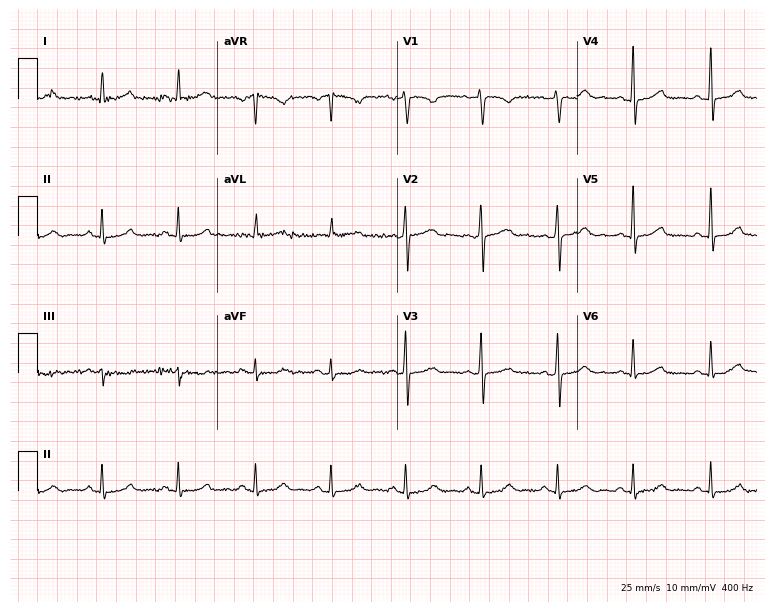
Standard 12-lead ECG recorded from a 64-year-old female (7.3-second recording at 400 Hz). Read as a normal ECG.